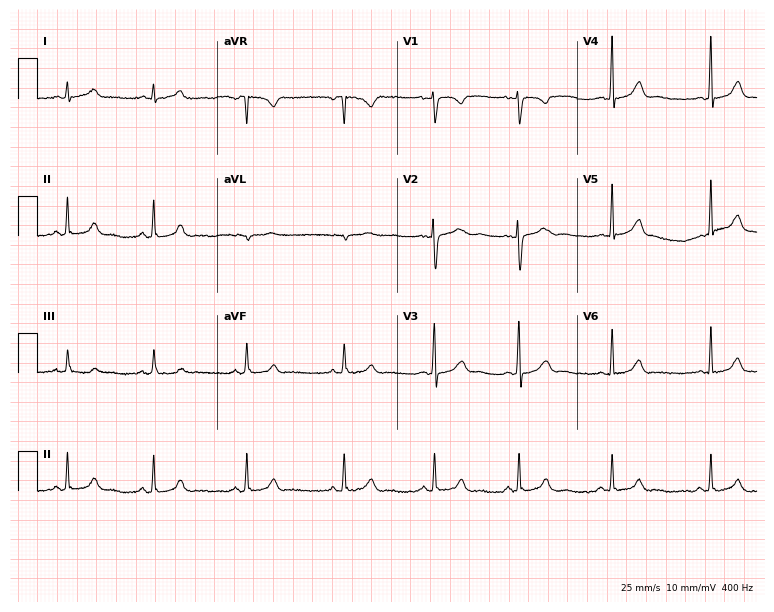
ECG — a woman, 25 years old. Labelled as a normal ECG.